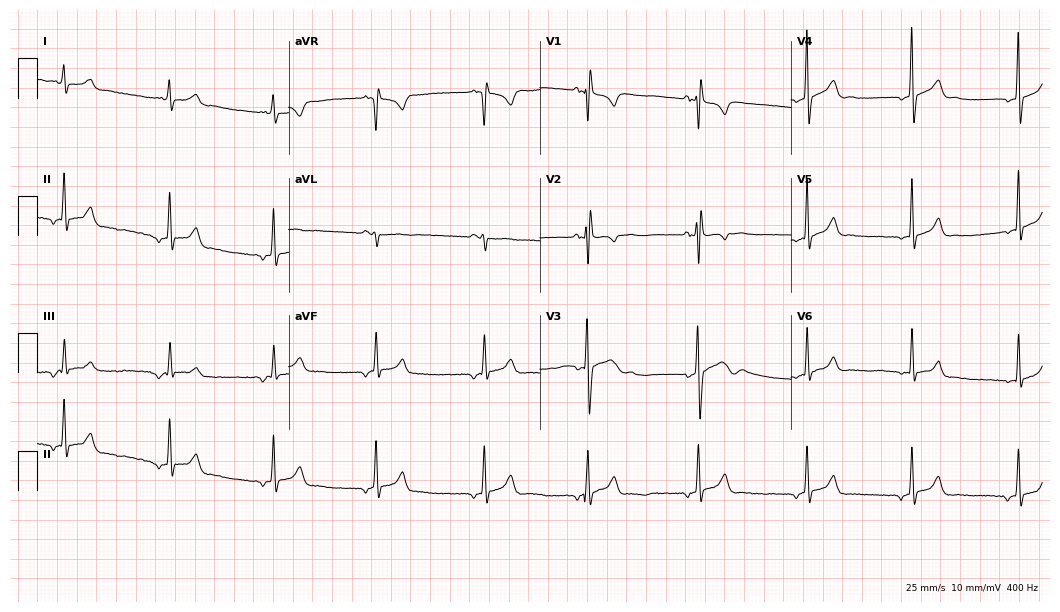
12-lead ECG from a male patient, 17 years old. Screened for six findings — first-degree AV block, right bundle branch block (RBBB), left bundle branch block (LBBB), sinus bradycardia, atrial fibrillation (AF), sinus tachycardia — none is recorded. Findings outside these six are not listed.